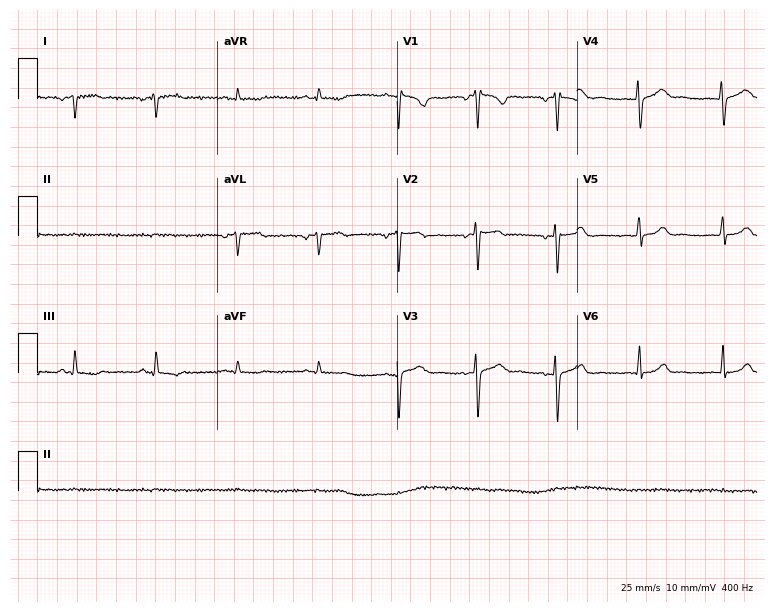
Electrocardiogram, a female patient, 32 years old. Of the six screened findings (first-degree AV block, right bundle branch block (RBBB), left bundle branch block (LBBB), sinus bradycardia, atrial fibrillation (AF), sinus tachycardia), none is recorded.